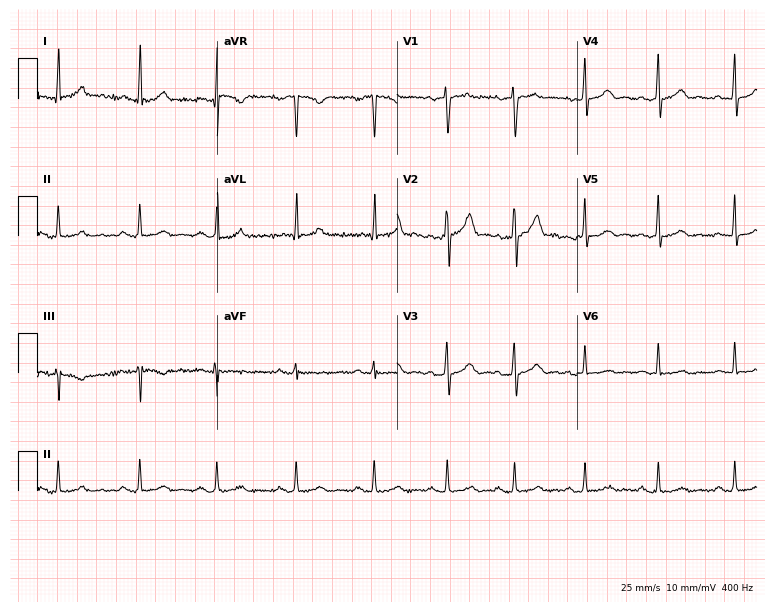
12-lead ECG from a 39-year-old man (7.3-second recording at 400 Hz). Recorded interpretation: within normal limits.